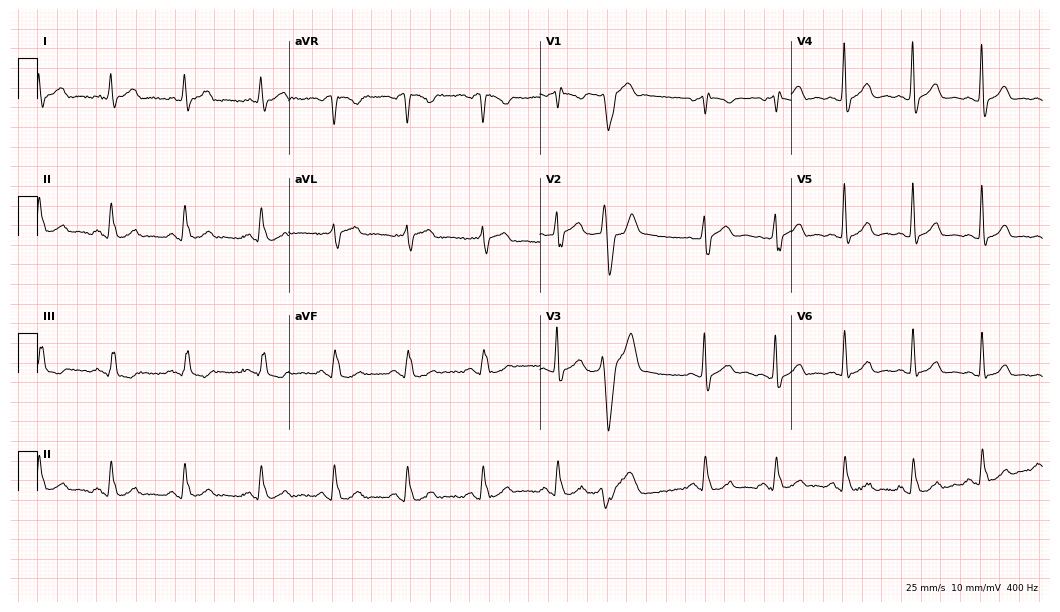
Standard 12-lead ECG recorded from a 60-year-old male patient. None of these six findings is recorded: first-degree AV block, right bundle branch block, left bundle branch block, sinus bradycardia, atrial fibrillation, sinus tachycardia. Only these six findings were labelled.